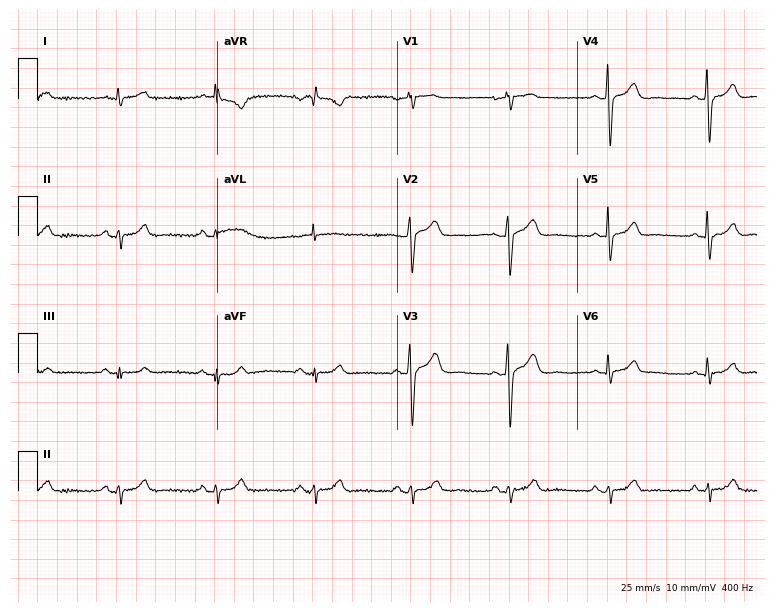
ECG — a 65-year-old man. Labelled as a normal ECG.